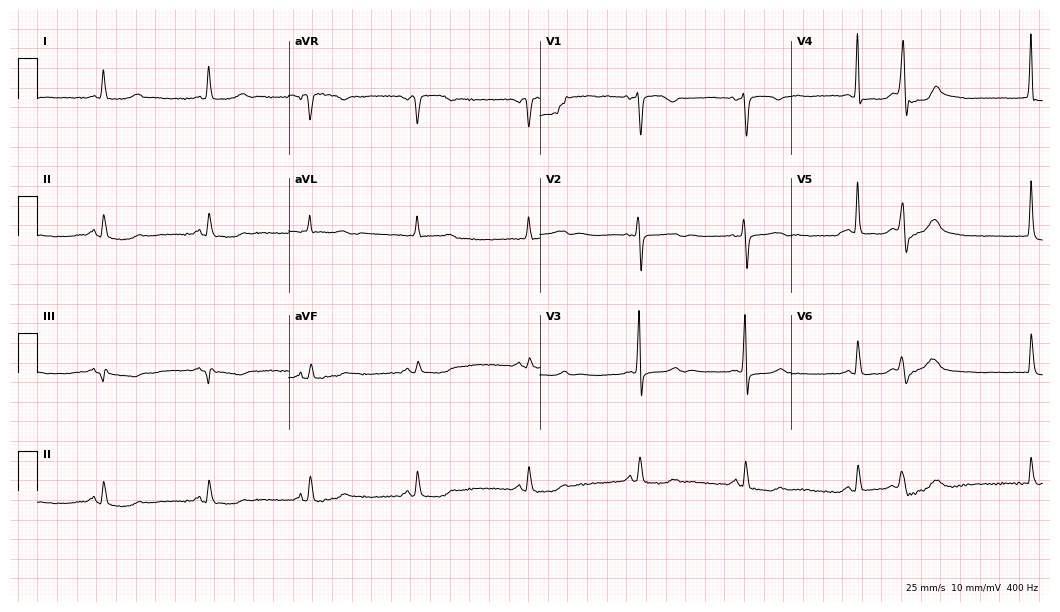
12-lead ECG from a 66-year-old female patient. Recorded interpretation: within normal limits.